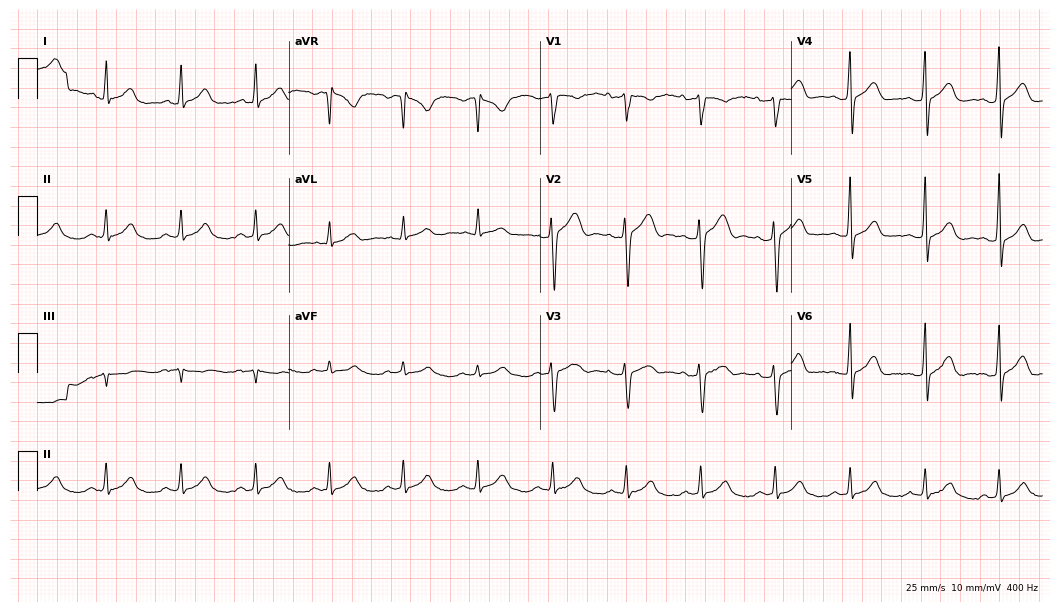
Electrocardiogram (10.2-second recording at 400 Hz), a man, 30 years old. Overall reading on record: normal ECG.